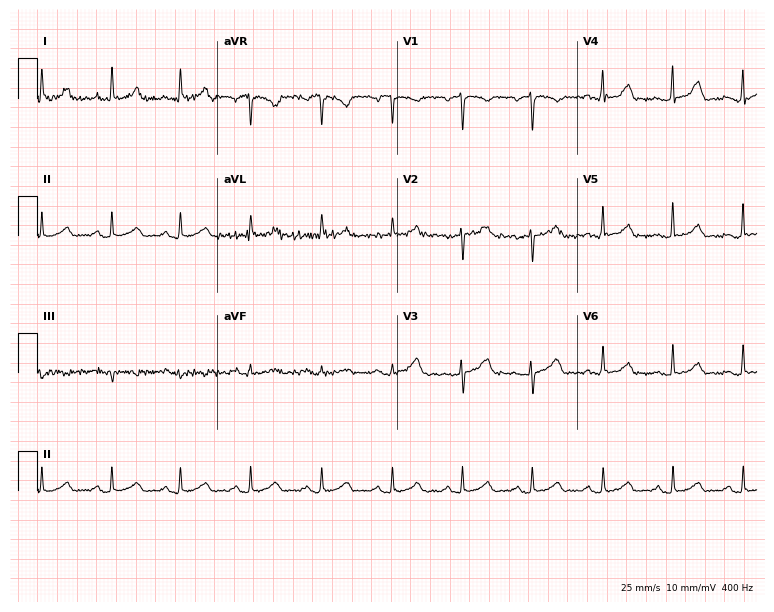
Electrocardiogram, a female patient, 44 years old. Overall reading on record: normal ECG.